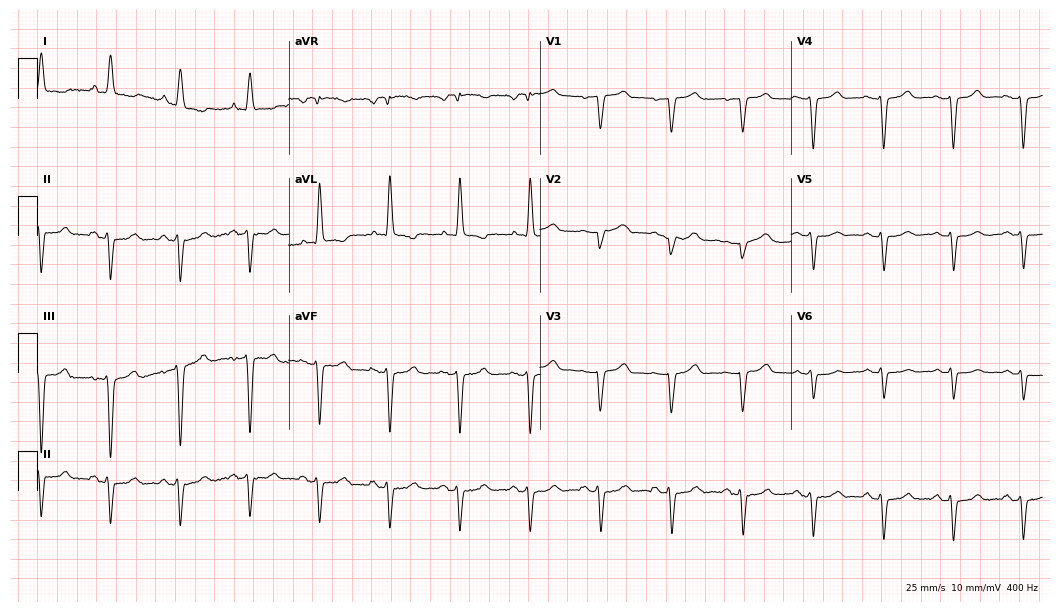
Resting 12-lead electrocardiogram. Patient: a female, 76 years old. None of these six findings is recorded: first-degree AV block, right bundle branch block, left bundle branch block, sinus bradycardia, atrial fibrillation, sinus tachycardia. Other findings, if any, are not listed.